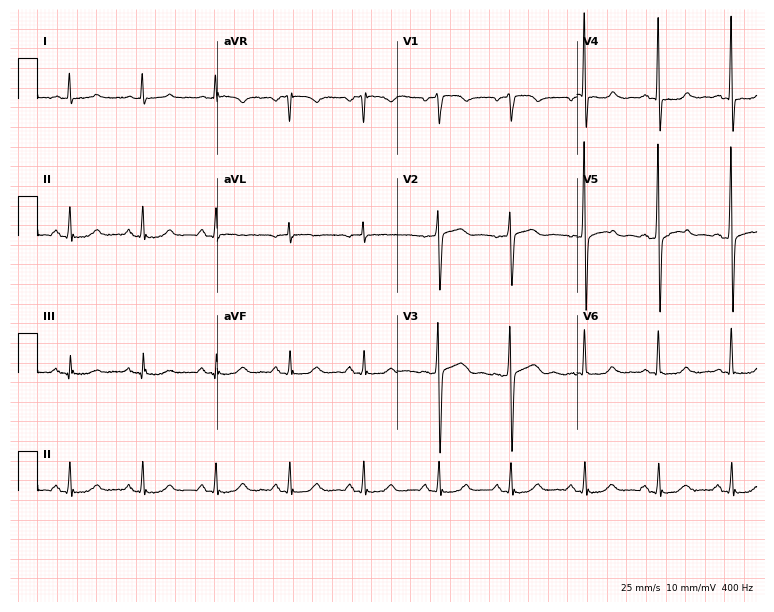
Electrocardiogram, a 76-year-old male. Overall reading on record: normal ECG.